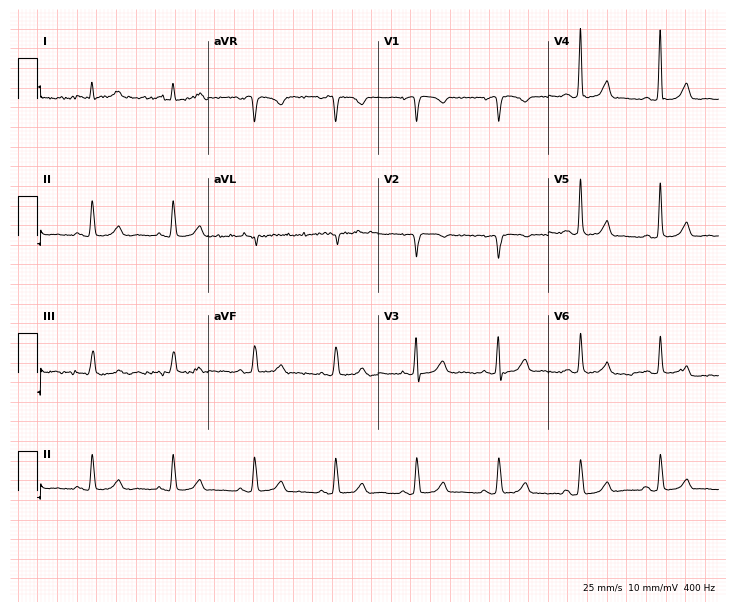
Resting 12-lead electrocardiogram (6.9-second recording at 400 Hz). Patient: a woman, 61 years old. None of these six findings is recorded: first-degree AV block, right bundle branch block, left bundle branch block, sinus bradycardia, atrial fibrillation, sinus tachycardia.